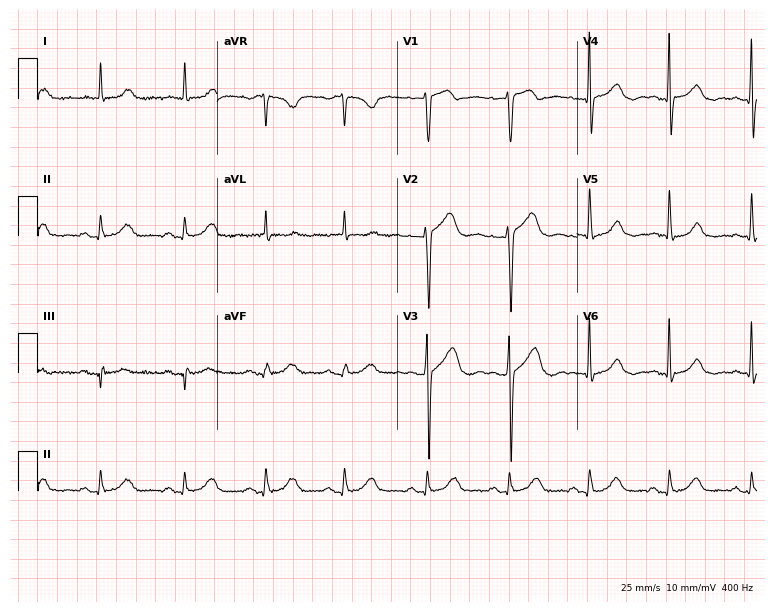
12-lead ECG from a woman, 65 years old. Screened for six findings — first-degree AV block, right bundle branch block, left bundle branch block, sinus bradycardia, atrial fibrillation, sinus tachycardia — none is recorded.